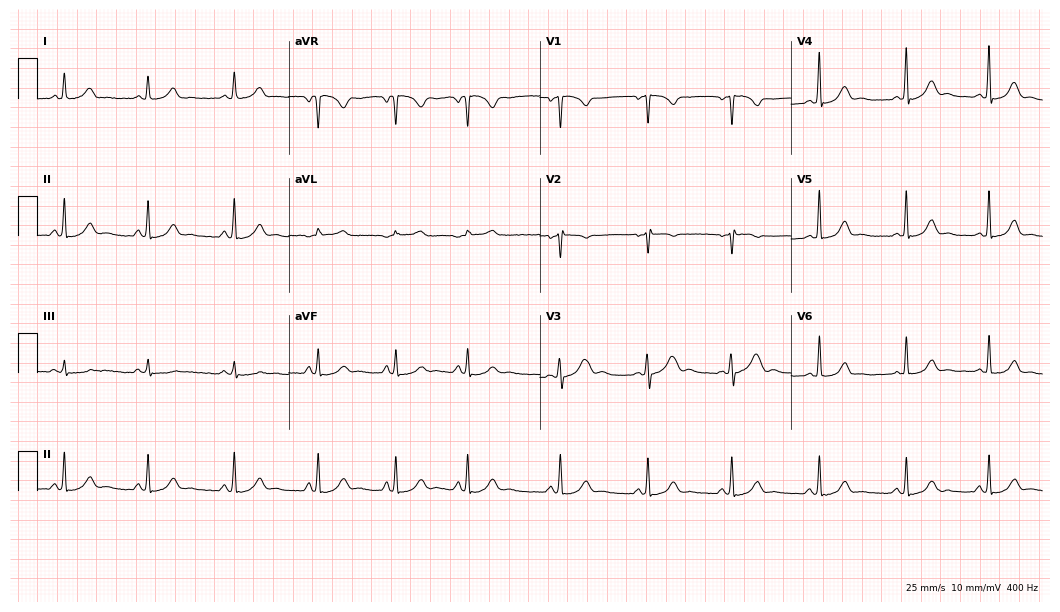
Resting 12-lead electrocardiogram. Patient: a 26-year-old female. None of these six findings is recorded: first-degree AV block, right bundle branch block, left bundle branch block, sinus bradycardia, atrial fibrillation, sinus tachycardia.